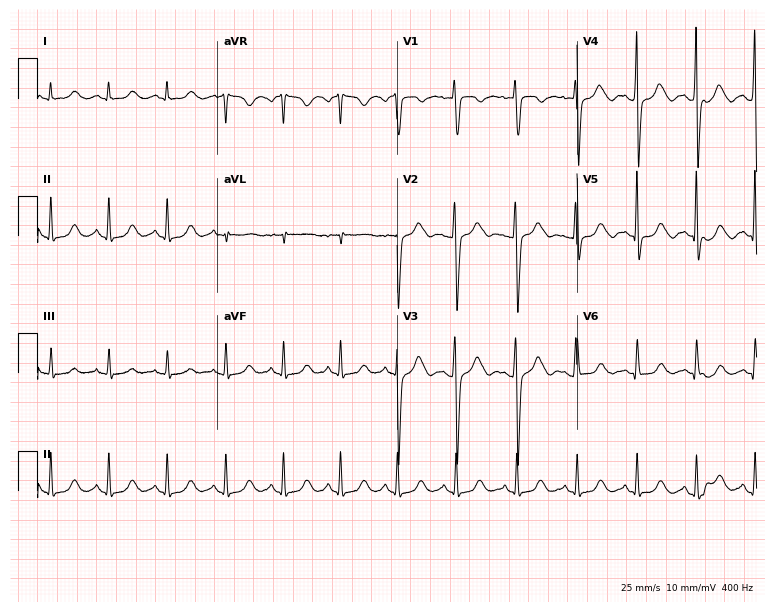
ECG (7.3-second recording at 400 Hz) — a 35-year-old female patient. Screened for six findings — first-degree AV block, right bundle branch block, left bundle branch block, sinus bradycardia, atrial fibrillation, sinus tachycardia — none is recorded. Only these six findings were labelled.